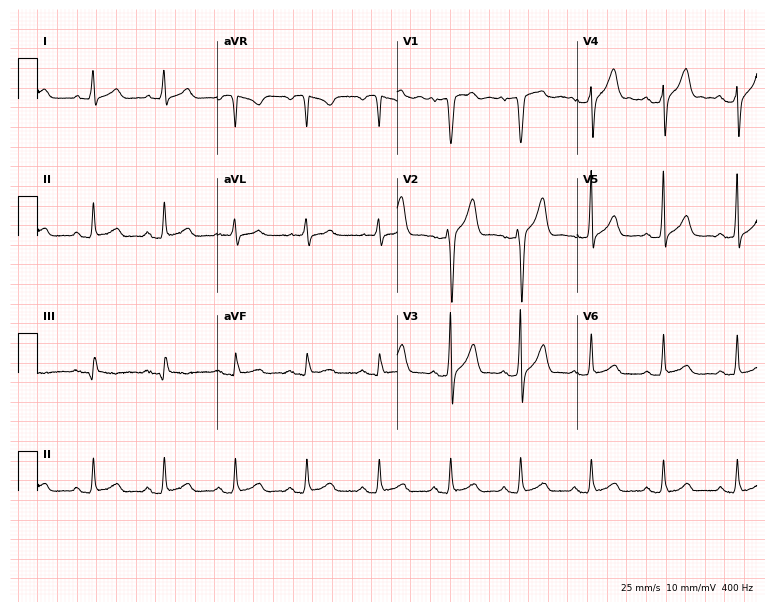
12-lead ECG from a male, 52 years old (7.3-second recording at 400 Hz). Recorded interpretation: within normal limits.